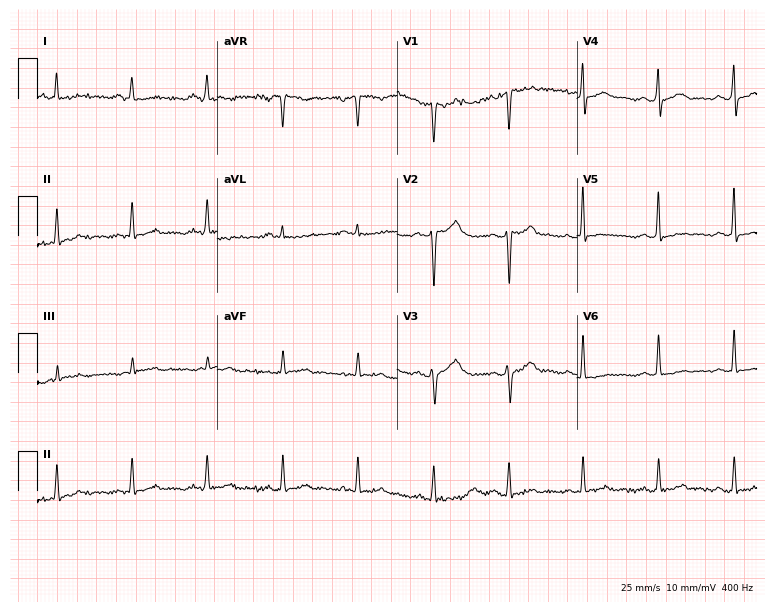
12-lead ECG from a 42-year-old man. No first-degree AV block, right bundle branch block, left bundle branch block, sinus bradycardia, atrial fibrillation or sinus tachycardia recorded for this tracing.